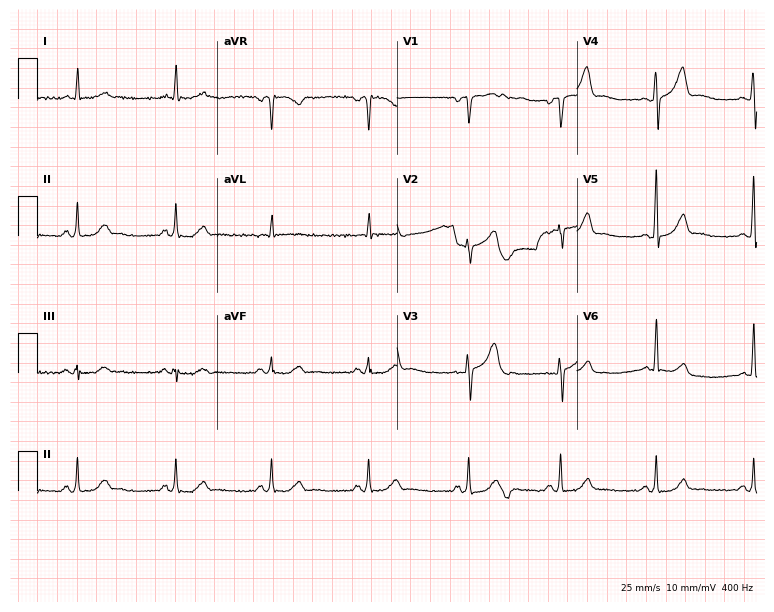
ECG (7.3-second recording at 400 Hz) — a 75-year-old man. Screened for six findings — first-degree AV block, right bundle branch block, left bundle branch block, sinus bradycardia, atrial fibrillation, sinus tachycardia — none is recorded. Findings outside these six are not listed.